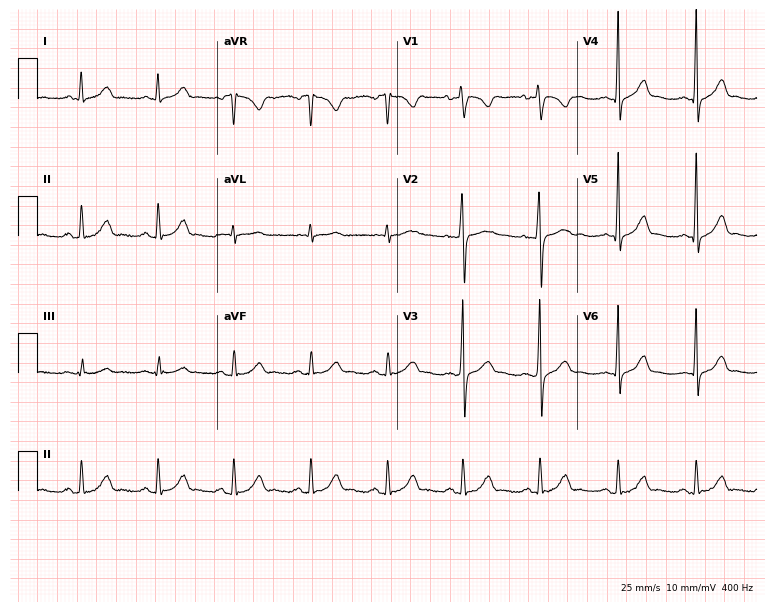
Electrocardiogram (7.3-second recording at 400 Hz), a 28-year-old male patient. Of the six screened findings (first-degree AV block, right bundle branch block (RBBB), left bundle branch block (LBBB), sinus bradycardia, atrial fibrillation (AF), sinus tachycardia), none is recorded.